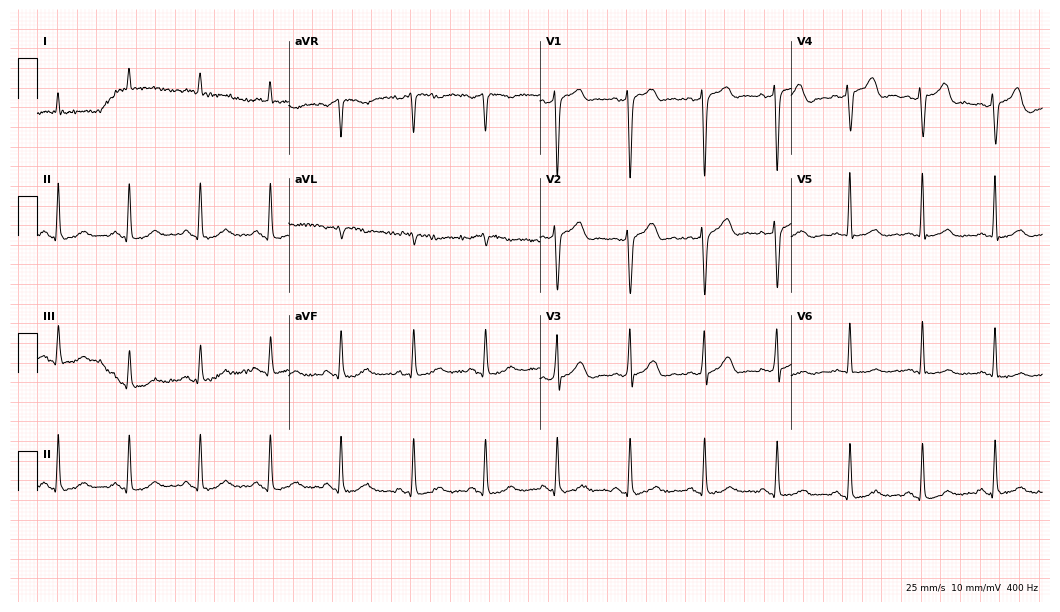
ECG — a 76-year-old male. Screened for six findings — first-degree AV block, right bundle branch block (RBBB), left bundle branch block (LBBB), sinus bradycardia, atrial fibrillation (AF), sinus tachycardia — none is recorded. Findings outside these six are not listed.